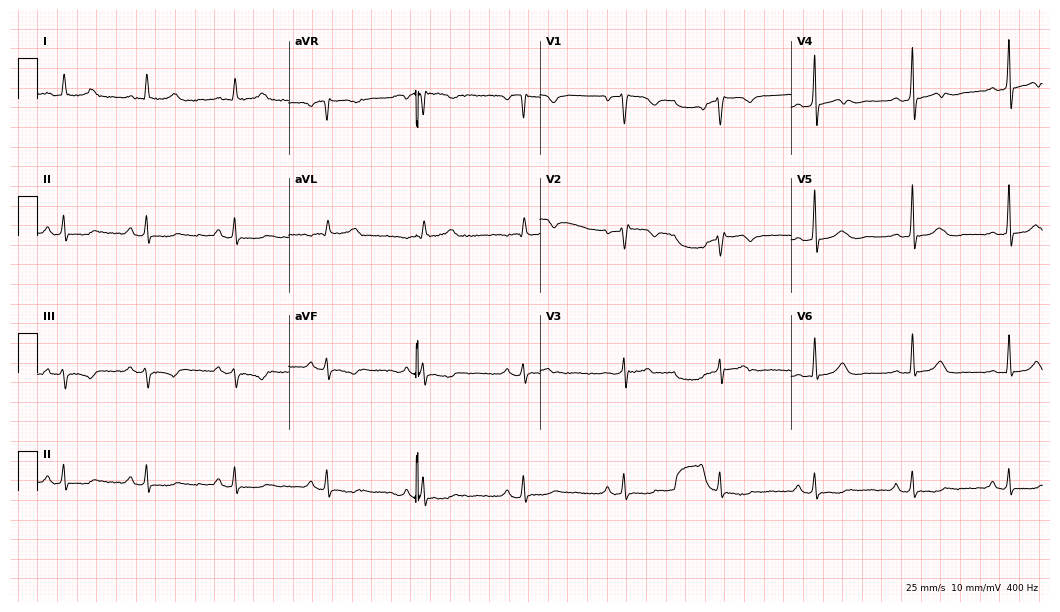
Standard 12-lead ECG recorded from a male, 58 years old. None of these six findings is recorded: first-degree AV block, right bundle branch block, left bundle branch block, sinus bradycardia, atrial fibrillation, sinus tachycardia.